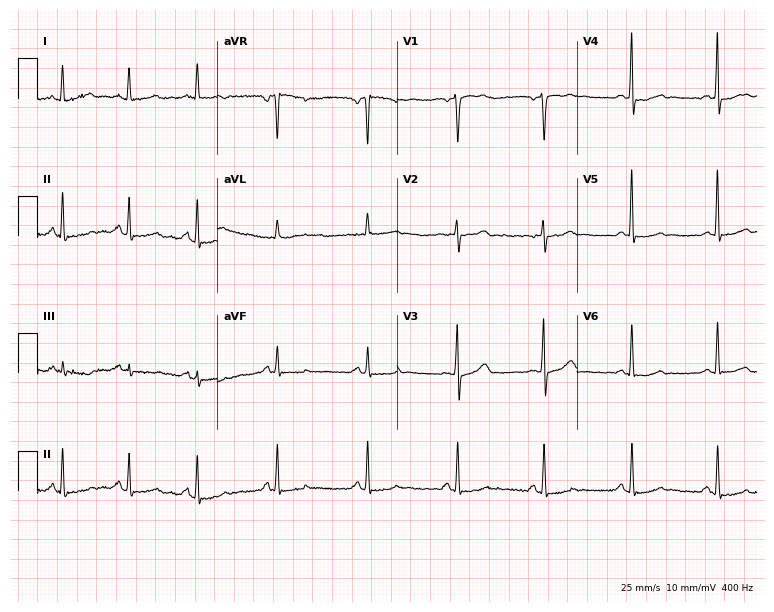
Standard 12-lead ECG recorded from a 44-year-old woman (7.3-second recording at 400 Hz). None of these six findings is recorded: first-degree AV block, right bundle branch block, left bundle branch block, sinus bradycardia, atrial fibrillation, sinus tachycardia. Only these six findings were labelled.